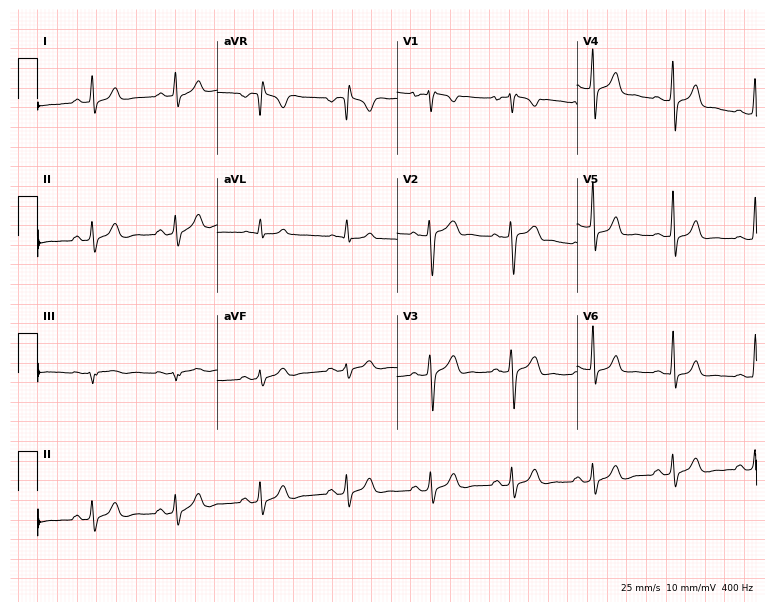
Resting 12-lead electrocardiogram (7.3-second recording at 400 Hz). Patient: a 25-year-old male. None of these six findings is recorded: first-degree AV block, right bundle branch block, left bundle branch block, sinus bradycardia, atrial fibrillation, sinus tachycardia.